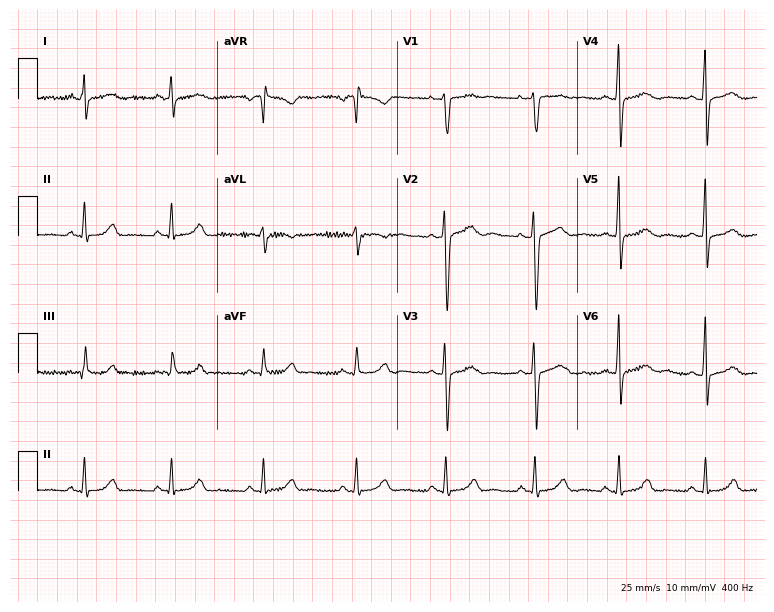
Standard 12-lead ECG recorded from a 32-year-old female patient (7.3-second recording at 400 Hz). Read as a normal ECG.